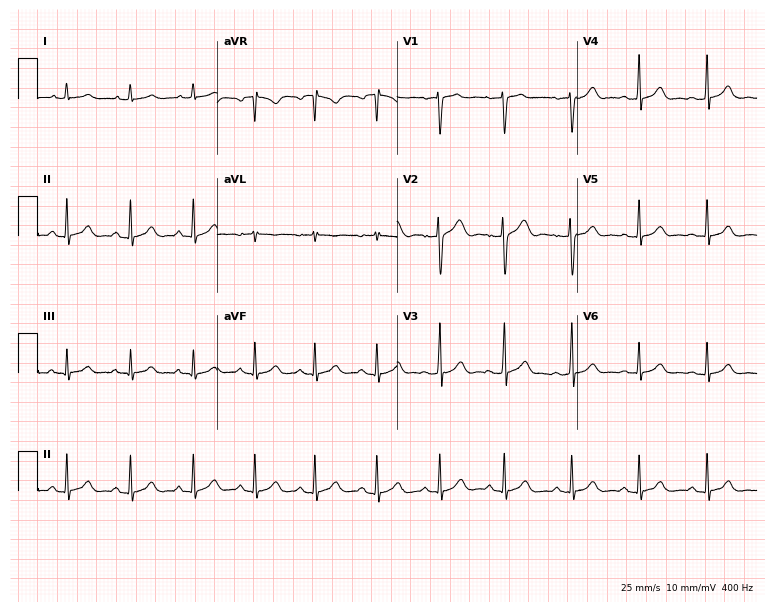
12-lead ECG from a 20-year-old female patient. No first-degree AV block, right bundle branch block (RBBB), left bundle branch block (LBBB), sinus bradycardia, atrial fibrillation (AF) or sinus tachycardia recorded for this tracing.